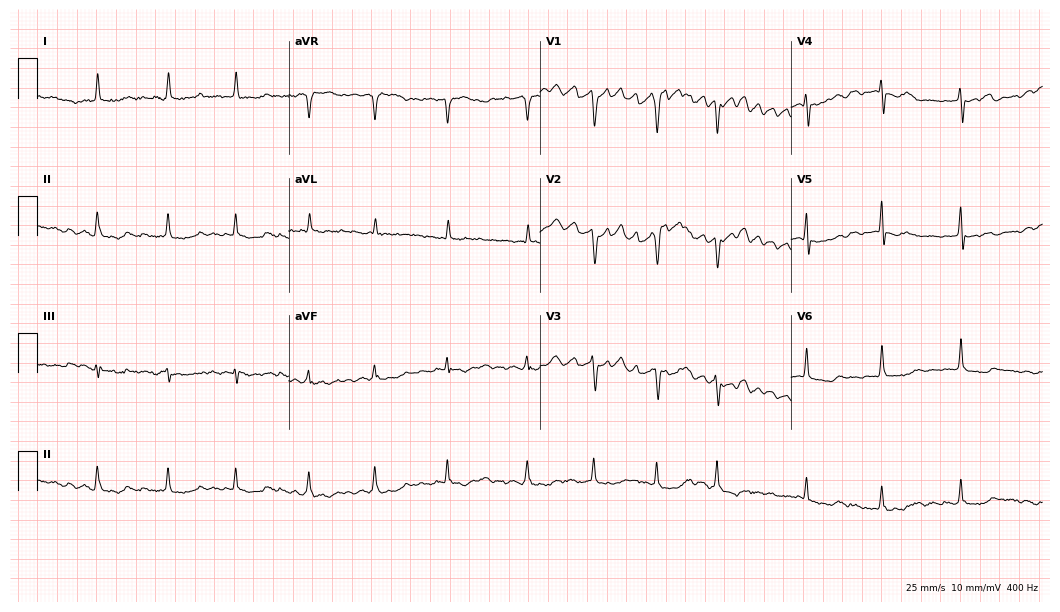
Standard 12-lead ECG recorded from a female, 79 years old (10.2-second recording at 400 Hz). The tracing shows atrial fibrillation (AF).